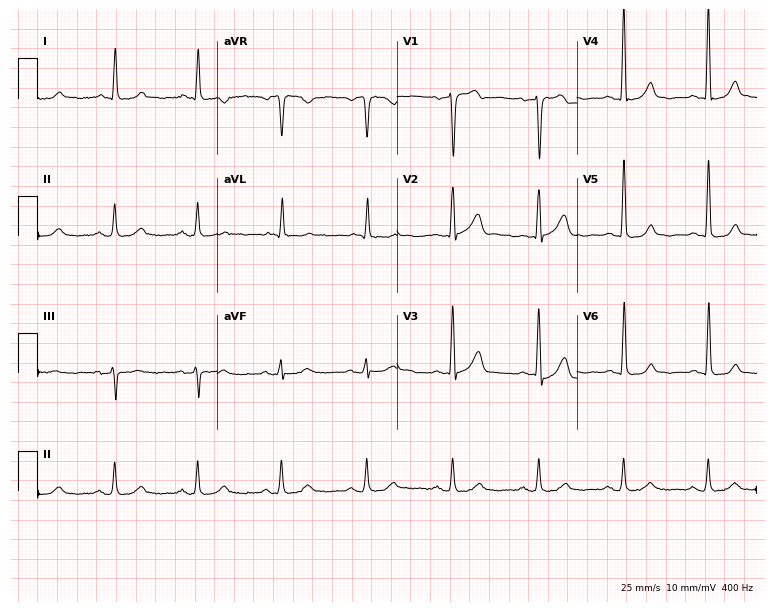
12-lead ECG from a 75-year-old man (7.3-second recording at 400 Hz). No first-degree AV block, right bundle branch block (RBBB), left bundle branch block (LBBB), sinus bradycardia, atrial fibrillation (AF) or sinus tachycardia recorded for this tracing.